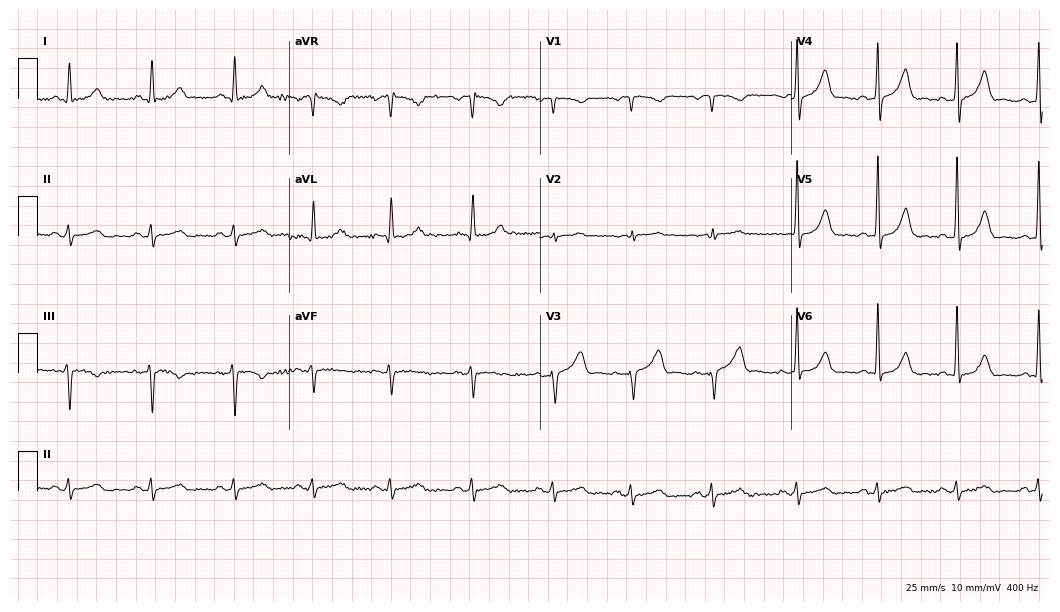
Resting 12-lead electrocardiogram. Patient: a 54-year-old male. None of these six findings is recorded: first-degree AV block, right bundle branch block, left bundle branch block, sinus bradycardia, atrial fibrillation, sinus tachycardia. Only these six findings were labelled.